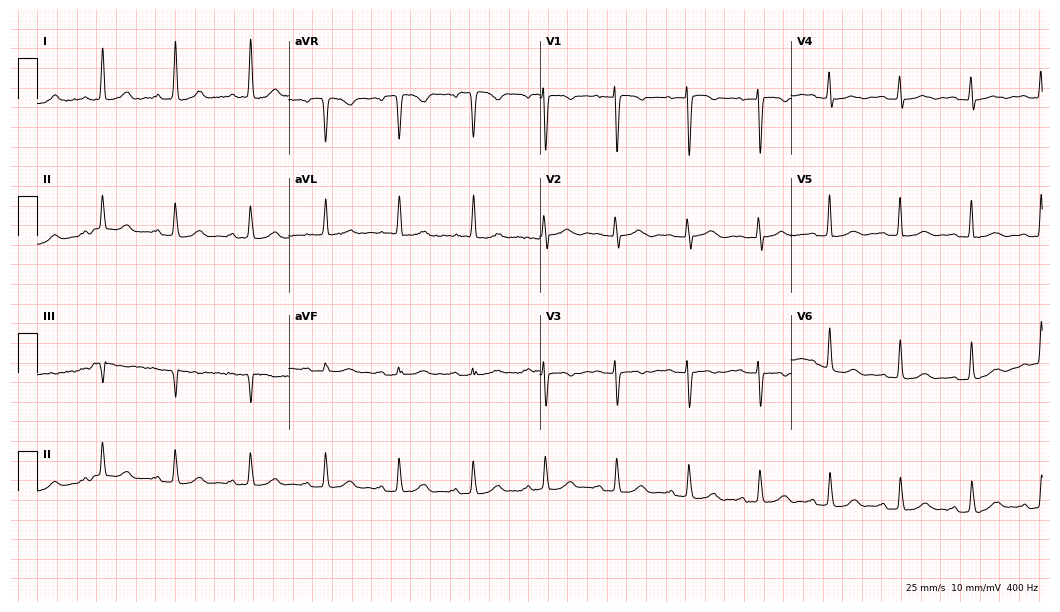
Electrocardiogram, a 78-year-old female. Overall reading on record: normal ECG.